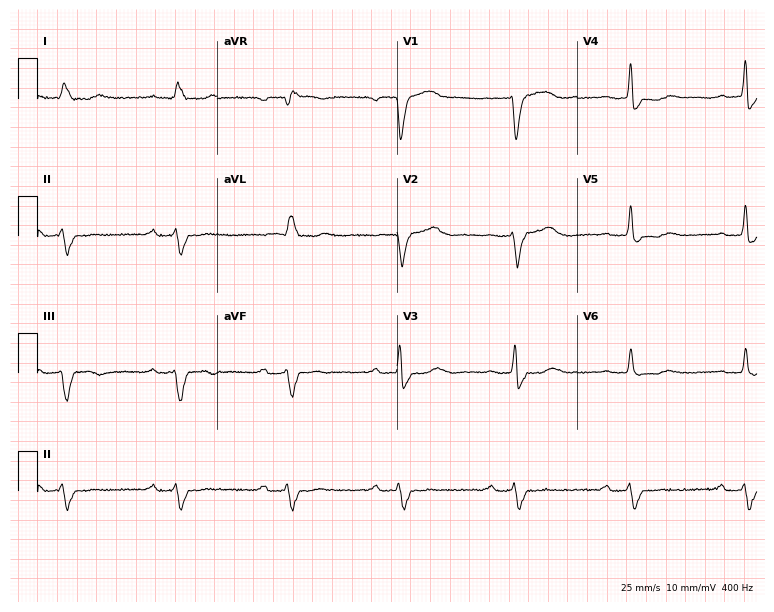
12-lead ECG from a male, 82 years old (7.3-second recording at 400 Hz). No first-degree AV block, right bundle branch block (RBBB), left bundle branch block (LBBB), sinus bradycardia, atrial fibrillation (AF) or sinus tachycardia recorded for this tracing. Only these six findings were labelled.